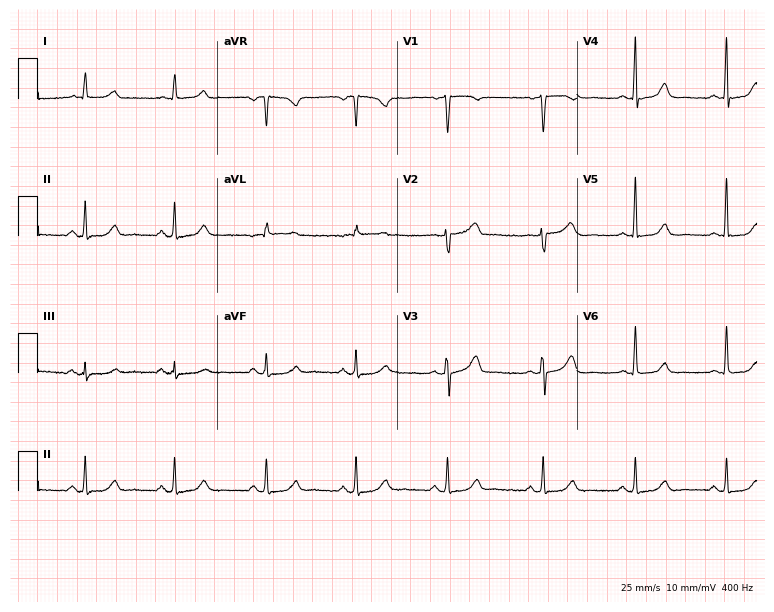
Resting 12-lead electrocardiogram. Patient: a female, 54 years old. None of these six findings is recorded: first-degree AV block, right bundle branch block, left bundle branch block, sinus bradycardia, atrial fibrillation, sinus tachycardia. Only these six findings were labelled.